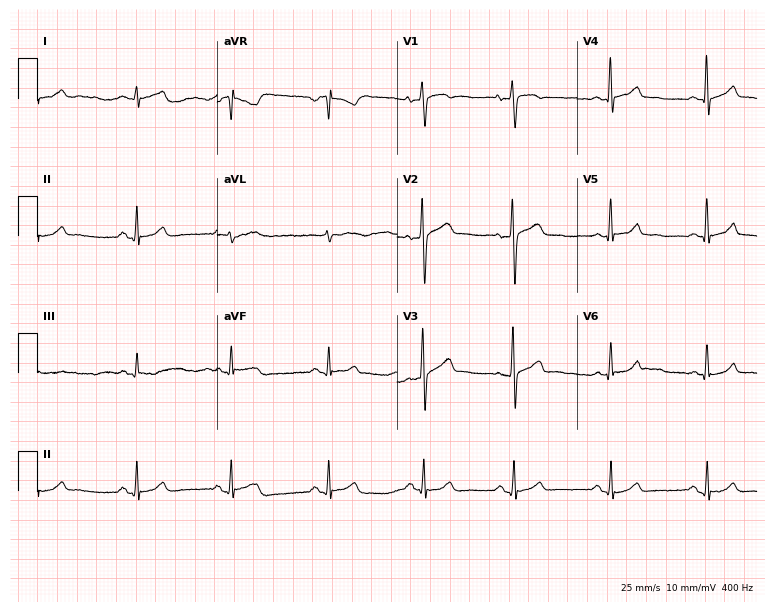
Electrocardiogram, a female, 43 years old. Of the six screened findings (first-degree AV block, right bundle branch block, left bundle branch block, sinus bradycardia, atrial fibrillation, sinus tachycardia), none is recorded.